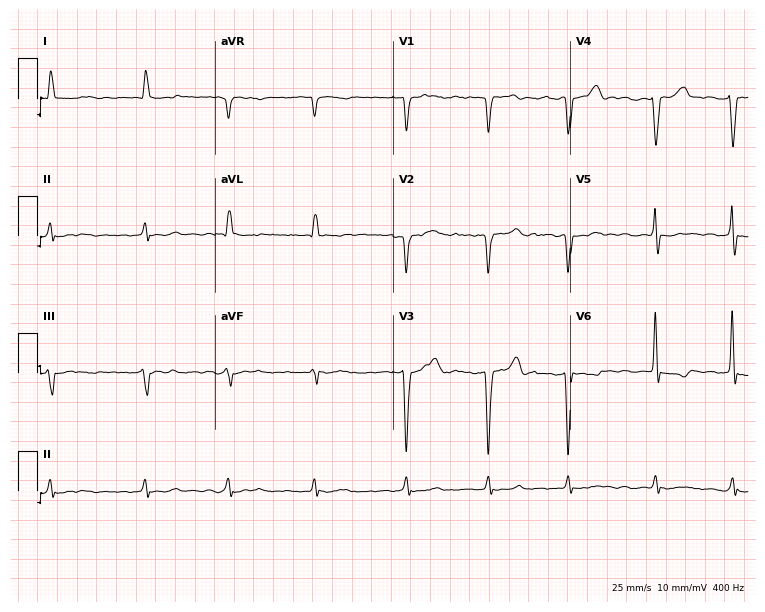
12-lead ECG (7.2-second recording at 400 Hz) from a woman, 75 years old. Findings include atrial fibrillation.